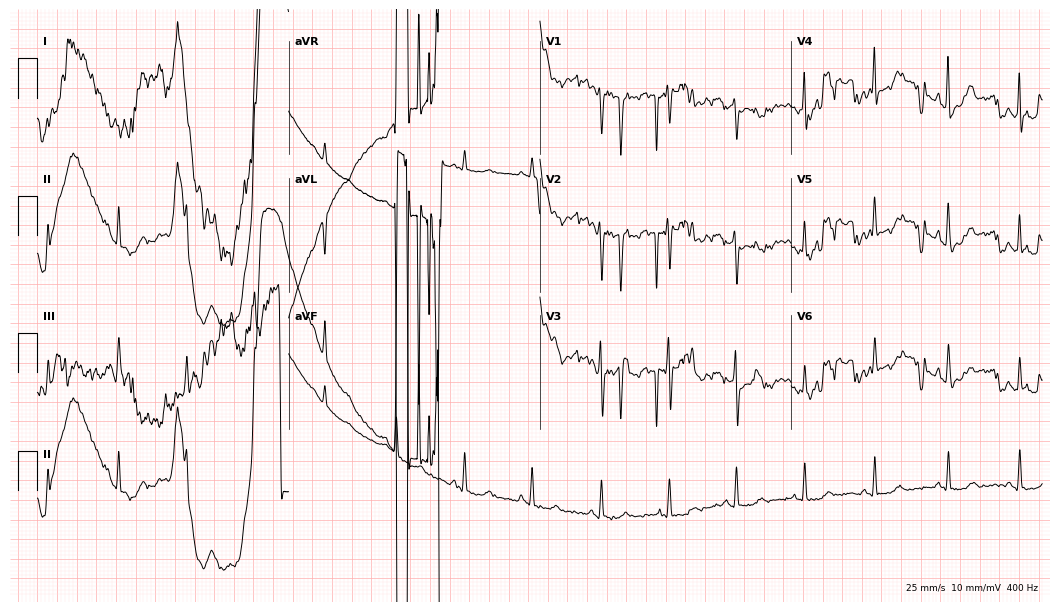
12-lead ECG (10.2-second recording at 400 Hz) from a 38-year-old female patient. Screened for six findings — first-degree AV block, right bundle branch block, left bundle branch block, sinus bradycardia, atrial fibrillation, sinus tachycardia — none is recorded. Findings outside these six are not listed.